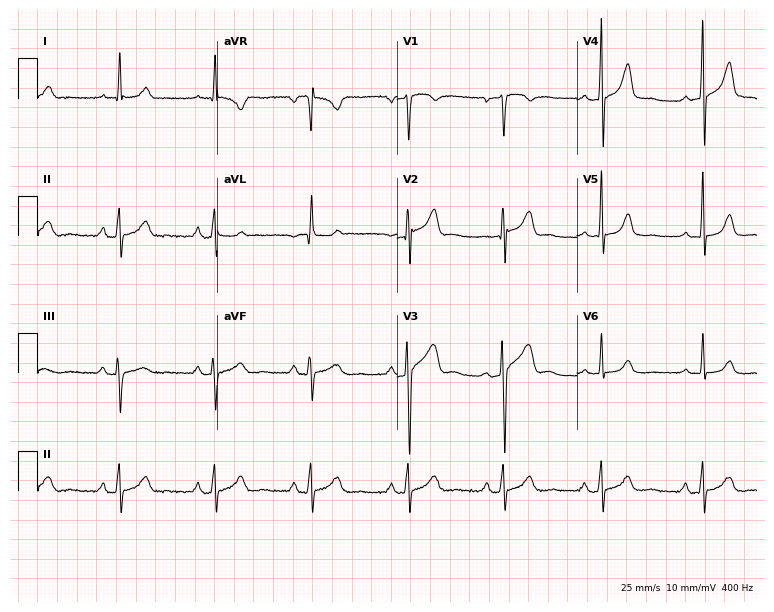
12-lead ECG from a 54-year-old female patient. Screened for six findings — first-degree AV block, right bundle branch block, left bundle branch block, sinus bradycardia, atrial fibrillation, sinus tachycardia — none is recorded. Findings outside these six are not listed.